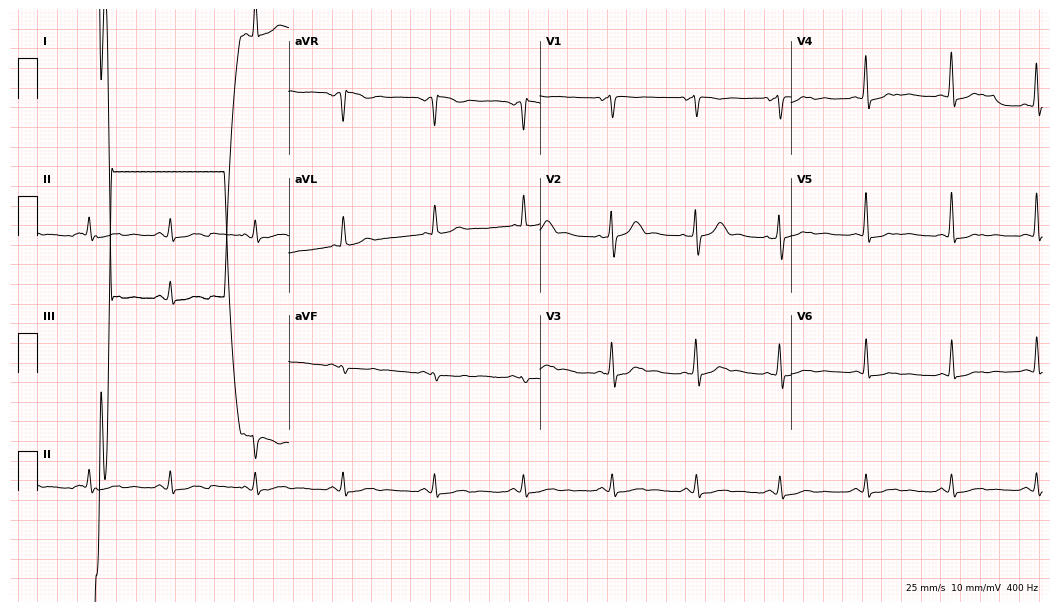
Electrocardiogram (10.2-second recording at 400 Hz), a male, 47 years old. Of the six screened findings (first-degree AV block, right bundle branch block (RBBB), left bundle branch block (LBBB), sinus bradycardia, atrial fibrillation (AF), sinus tachycardia), none is recorded. Findings outside these six are not listed.